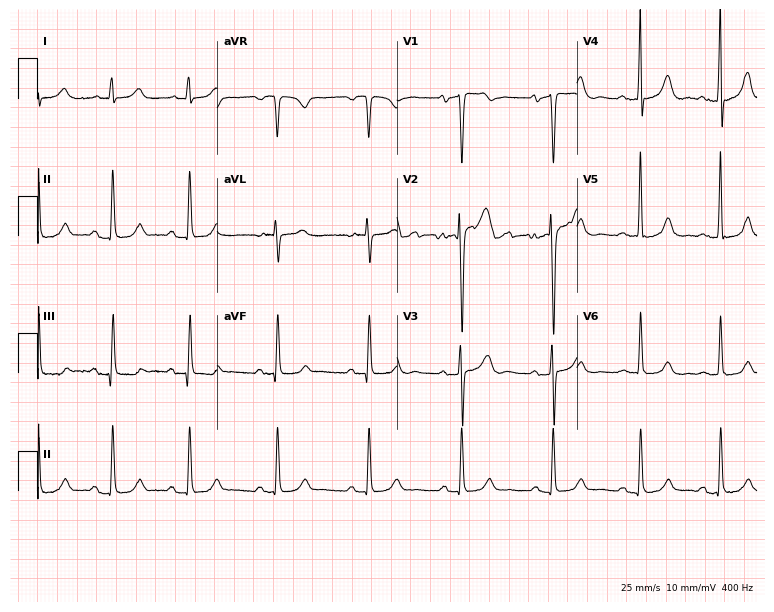
12-lead ECG (7.3-second recording at 400 Hz) from a 76-year-old female patient. Labelled as a normal ECG.